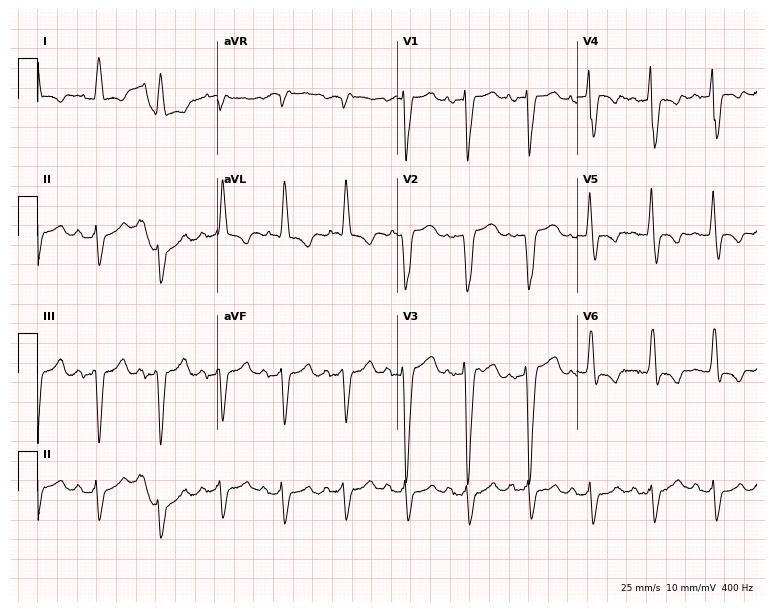
12-lead ECG (7.3-second recording at 400 Hz) from a male, 74 years old. Findings include left bundle branch block.